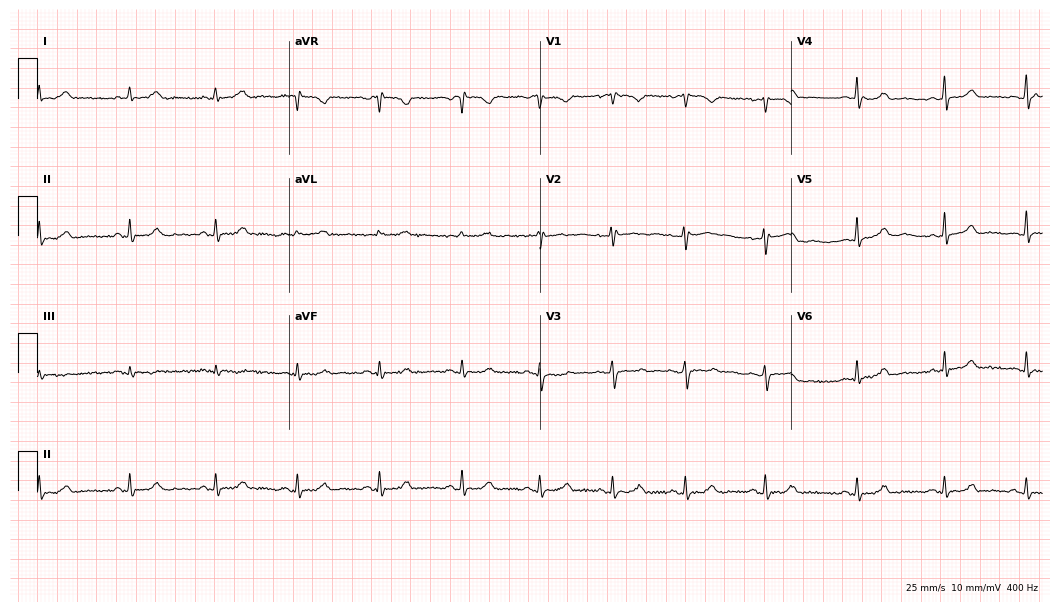
ECG — a female, 36 years old. Labelled as a normal ECG.